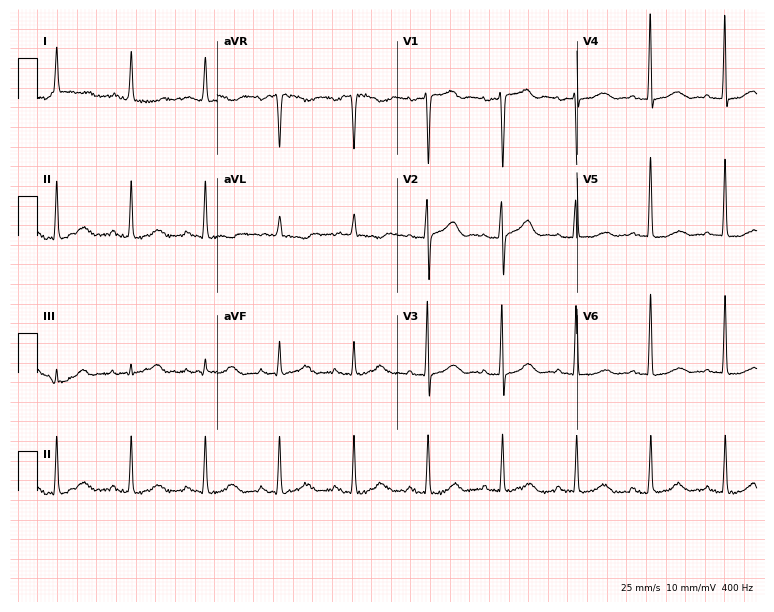
Electrocardiogram, an 85-year-old female patient. Overall reading on record: normal ECG.